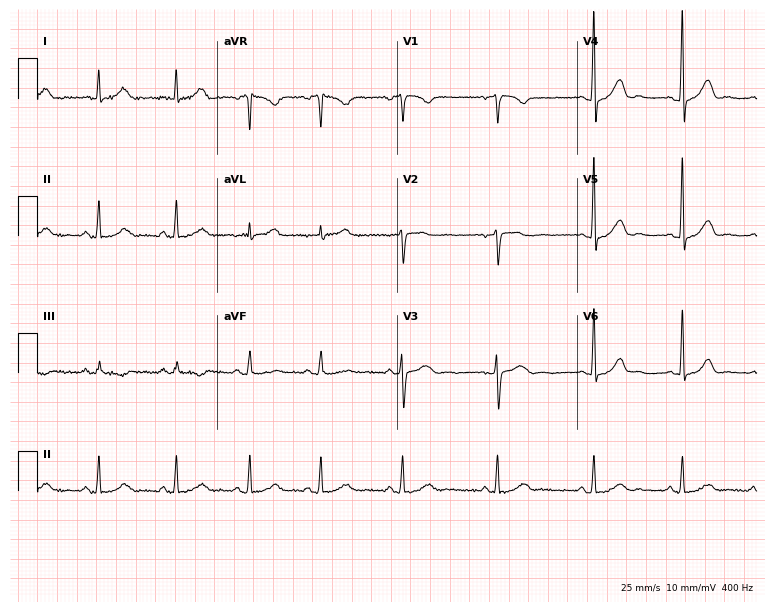
Resting 12-lead electrocardiogram. Patient: a 45-year-old woman. Read as a normal ECG.